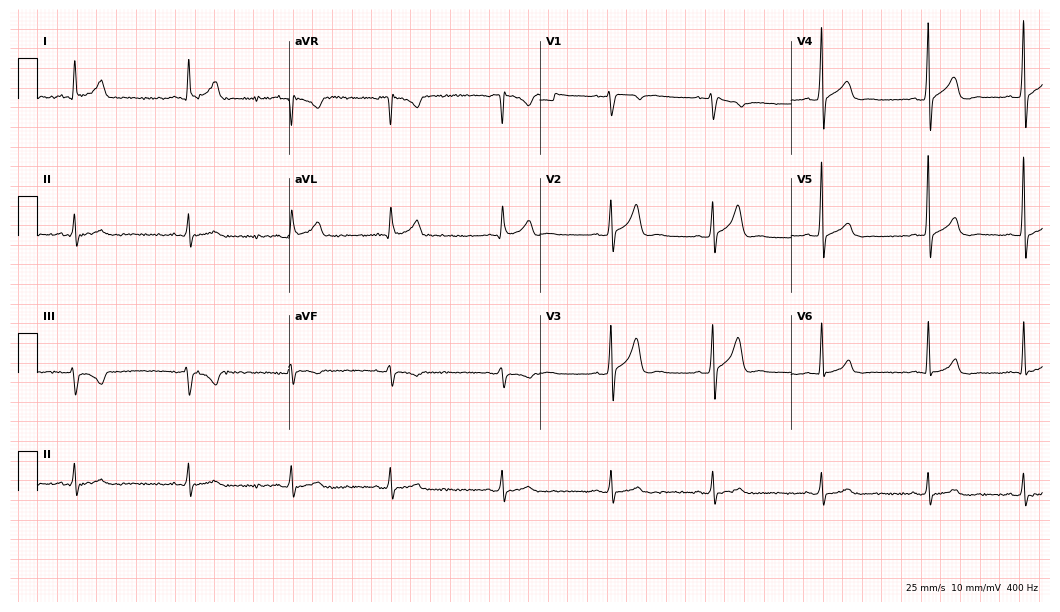
Standard 12-lead ECG recorded from a 33-year-old male patient (10.2-second recording at 400 Hz). None of these six findings is recorded: first-degree AV block, right bundle branch block (RBBB), left bundle branch block (LBBB), sinus bradycardia, atrial fibrillation (AF), sinus tachycardia. Other findings, if any, are not listed.